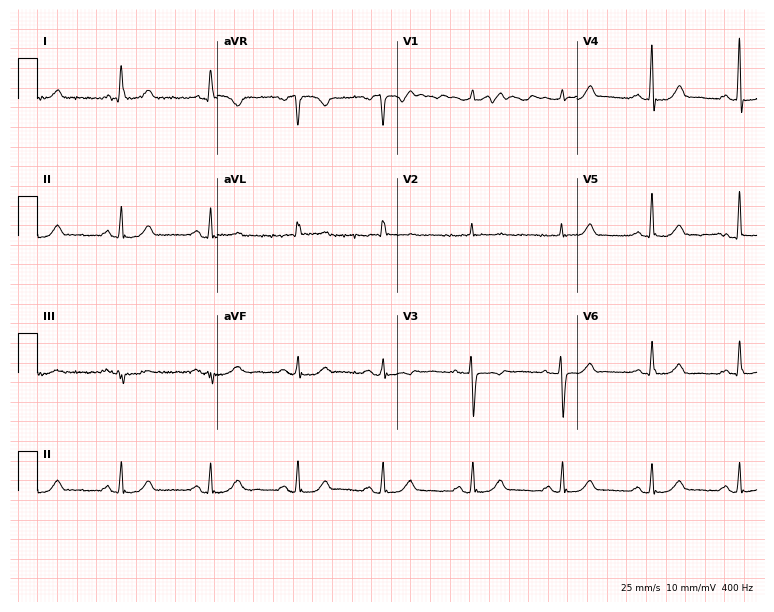
Standard 12-lead ECG recorded from a 77-year-old female patient. None of these six findings is recorded: first-degree AV block, right bundle branch block (RBBB), left bundle branch block (LBBB), sinus bradycardia, atrial fibrillation (AF), sinus tachycardia. Findings outside these six are not listed.